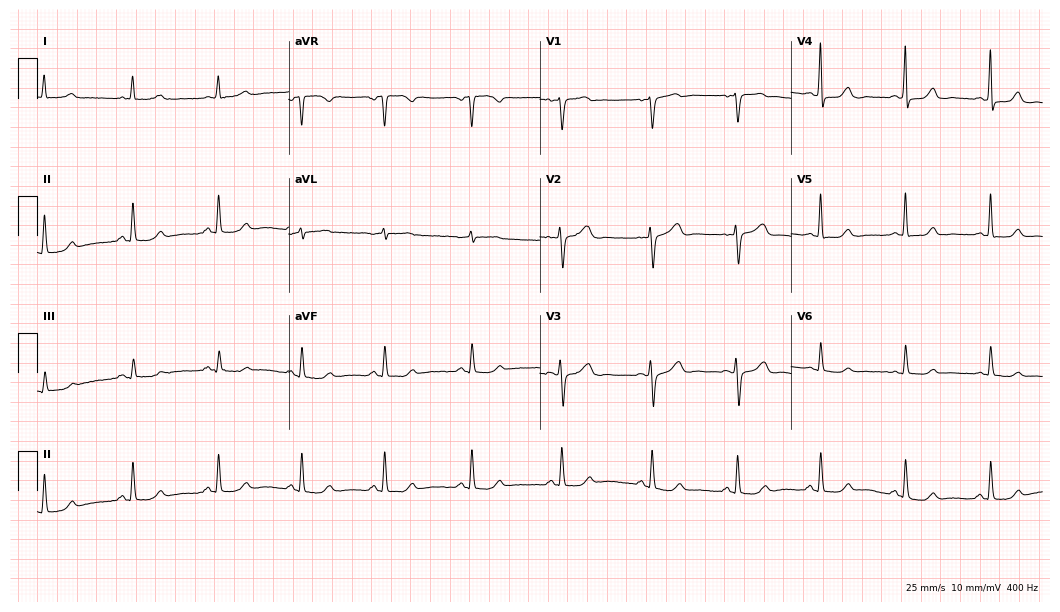
ECG (10.2-second recording at 400 Hz) — a female patient, 53 years old. Screened for six findings — first-degree AV block, right bundle branch block, left bundle branch block, sinus bradycardia, atrial fibrillation, sinus tachycardia — none is recorded.